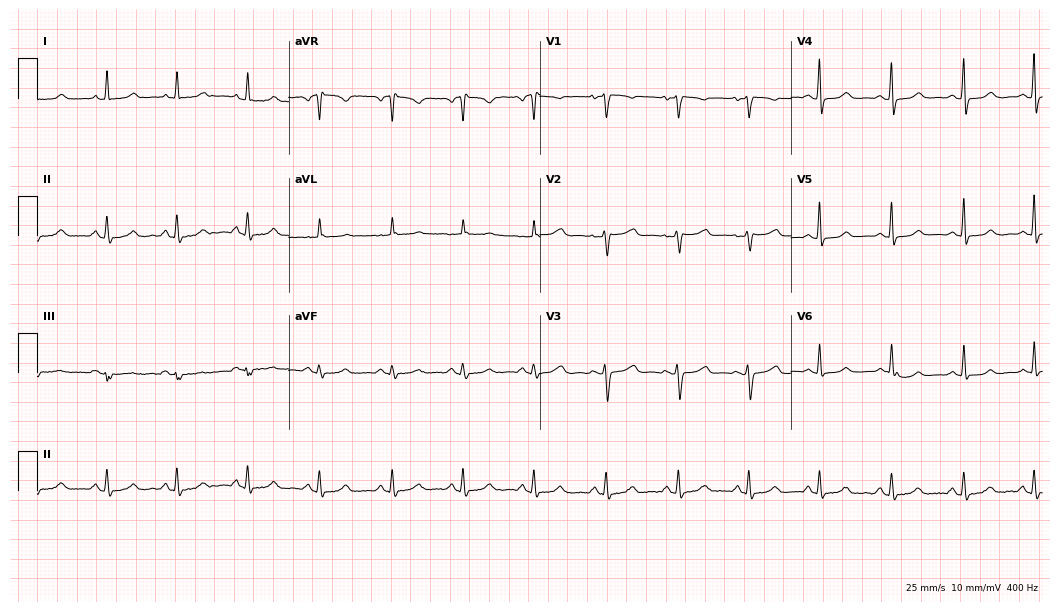
ECG — a 50-year-old woman. Labelled as a normal ECG.